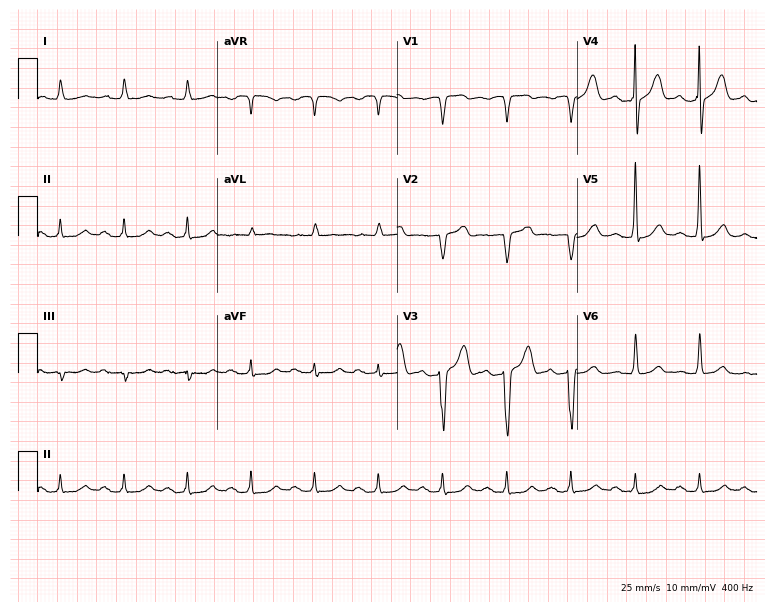
Electrocardiogram, an 83-year-old man. Of the six screened findings (first-degree AV block, right bundle branch block, left bundle branch block, sinus bradycardia, atrial fibrillation, sinus tachycardia), none is recorded.